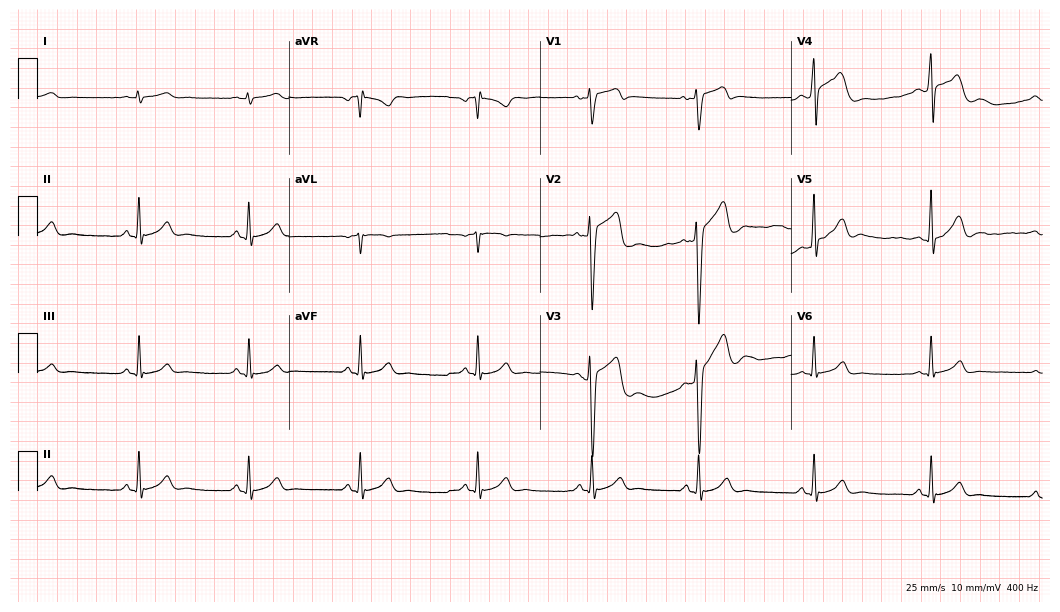
Standard 12-lead ECG recorded from a 29-year-old male patient (10.2-second recording at 400 Hz). Read as a normal ECG.